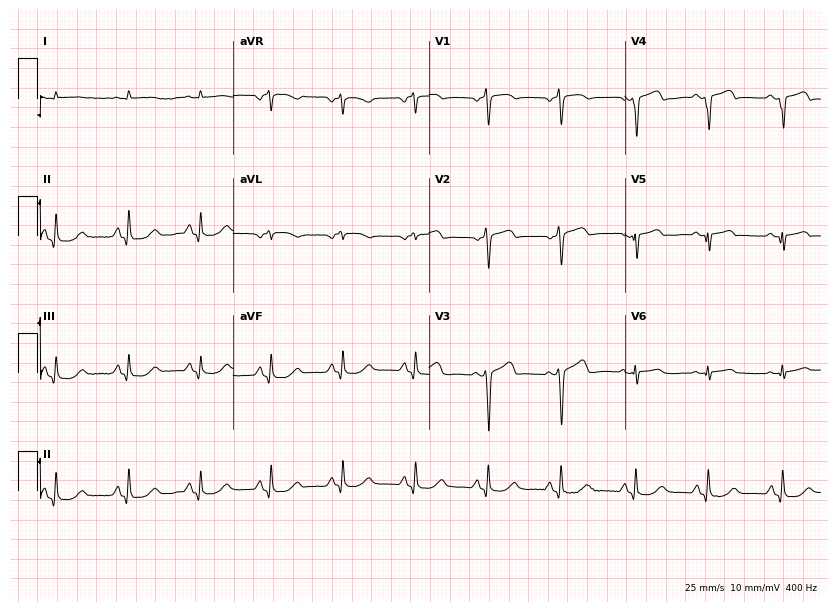
ECG — a male, 80 years old. Screened for six findings — first-degree AV block, right bundle branch block, left bundle branch block, sinus bradycardia, atrial fibrillation, sinus tachycardia — none is recorded.